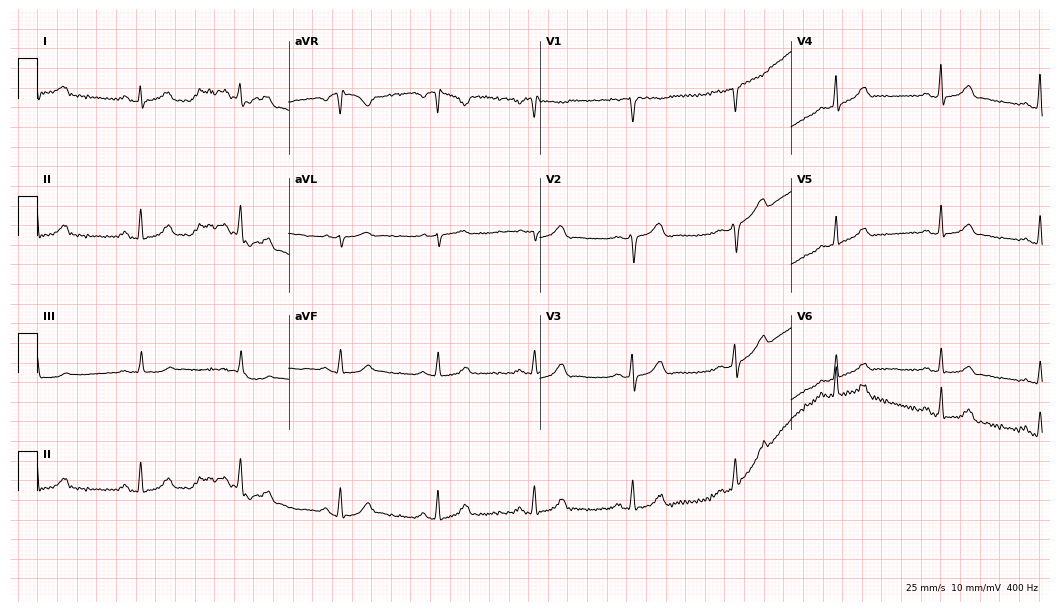
Electrocardiogram (10.2-second recording at 400 Hz), a female patient, 43 years old. Overall reading on record: normal ECG.